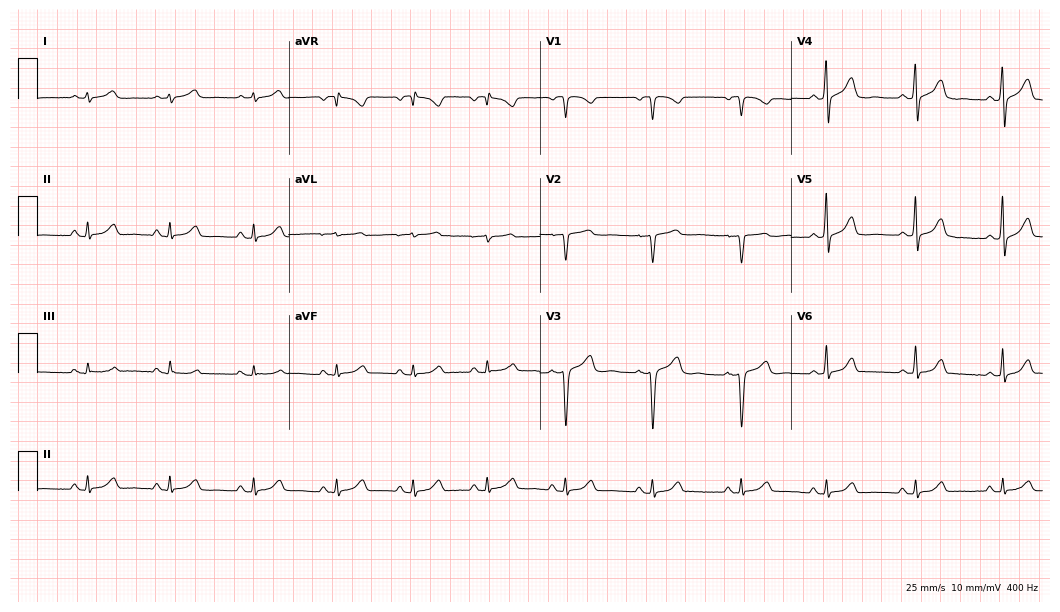
12-lead ECG from a 48-year-old female patient. No first-degree AV block, right bundle branch block (RBBB), left bundle branch block (LBBB), sinus bradycardia, atrial fibrillation (AF) or sinus tachycardia recorded for this tracing. Only these six findings were labelled.